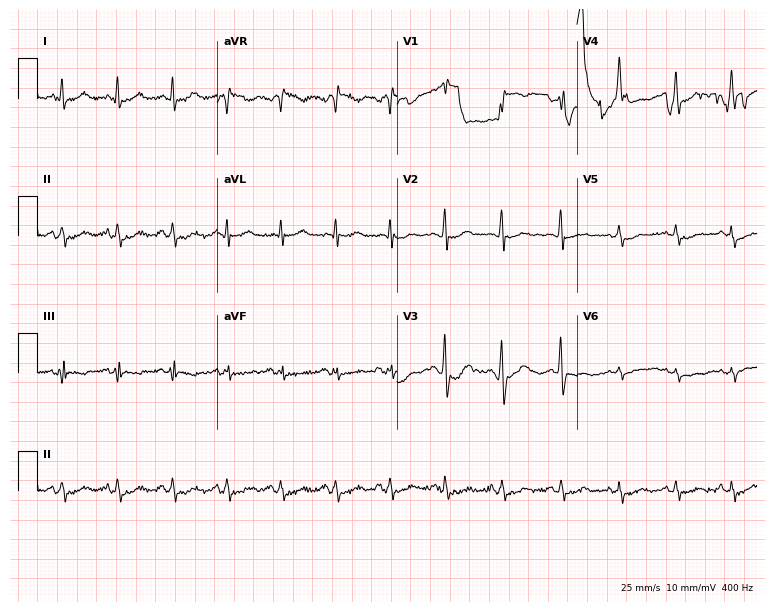
Standard 12-lead ECG recorded from a 32-year-old female patient. The tracing shows sinus tachycardia (a sinus rate of 100 beats per minute or more).